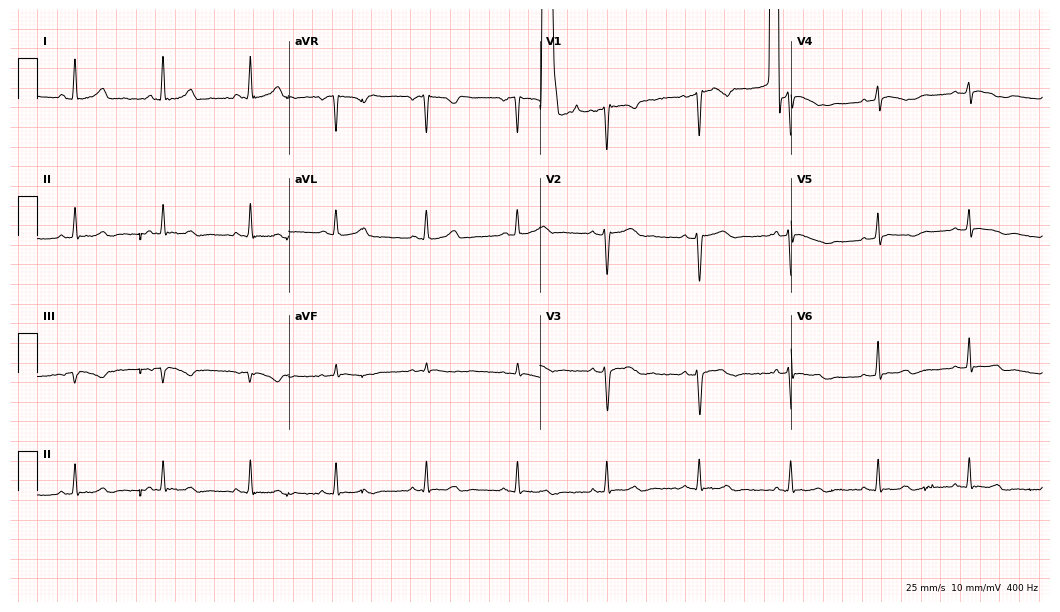
12-lead ECG from a female, 31 years old (10.2-second recording at 400 Hz). No first-degree AV block, right bundle branch block, left bundle branch block, sinus bradycardia, atrial fibrillation or sinus tachycardia recorded for this tracing. Other findings, if any, are not listed.